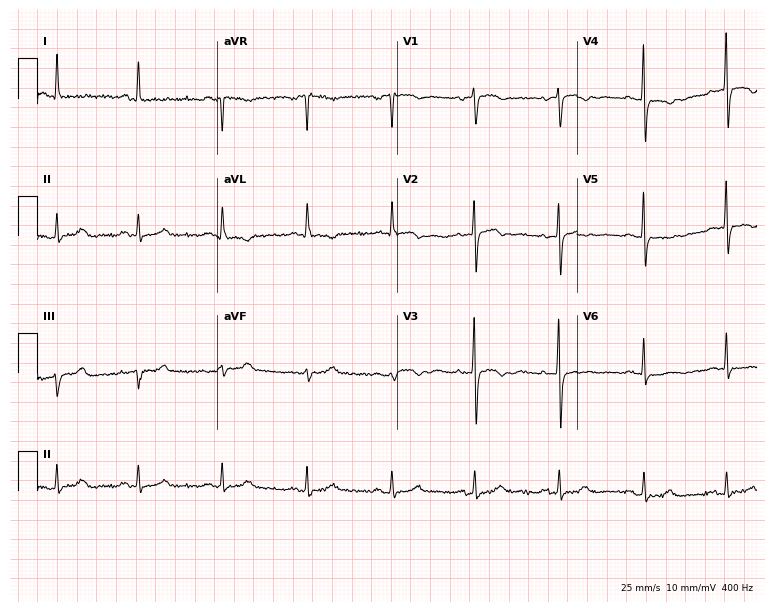
Standard 12-lead ECG recorded from a 66-year-old woman. None of these six findings is recorded: first-degree AV block, right bundle branch block (RBBB), left bundle branch block (LBBB), sinus bradycardia, atrial fibrillation (AF), sinus tachycardia.